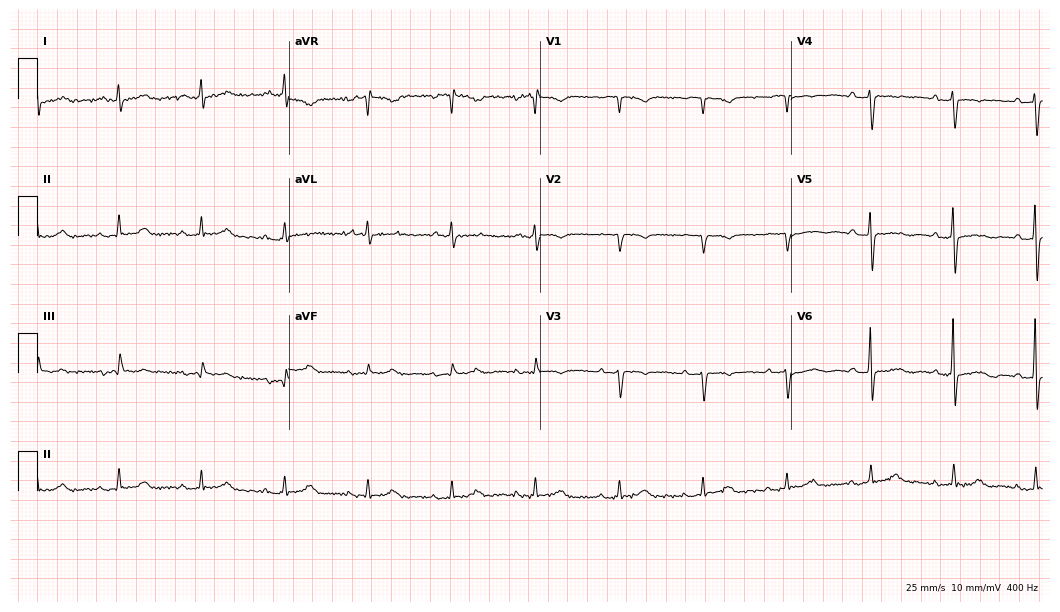
Electrocardiogram (10.2-second recording at 400 Hz), a female, 69 years old. Of the six screened findings (first-degree AV block, right bundle branch block, left bundle branch block, sinus bradycardia, atrial fibrillation, sinus tachycardia), none is recorded.